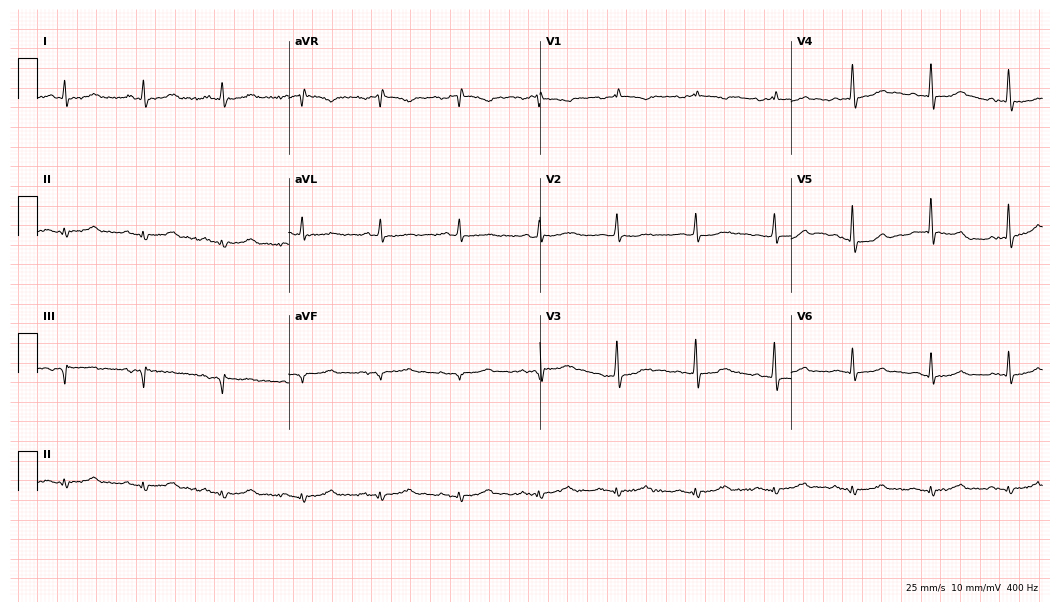
Resting 12-lead electrocardiogram. Patient: a 72-year-old male. Read as a normal ECG.